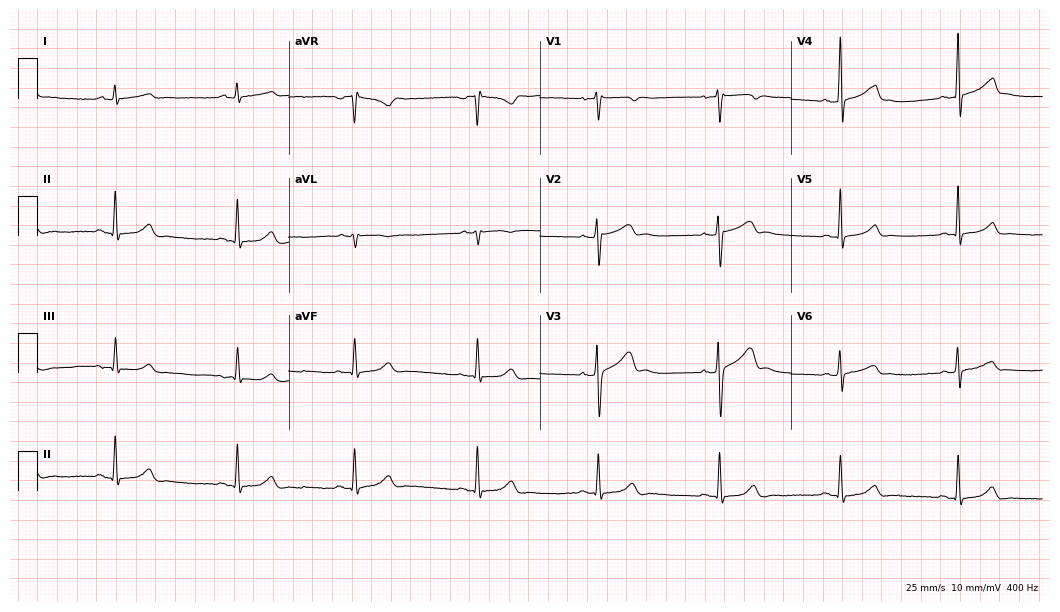
ECG (10.2-second recording at 400 Hz) — a male, 30 years old. Findings include sinus bradycardia (a sinus rate of 50 beats per minute or less).